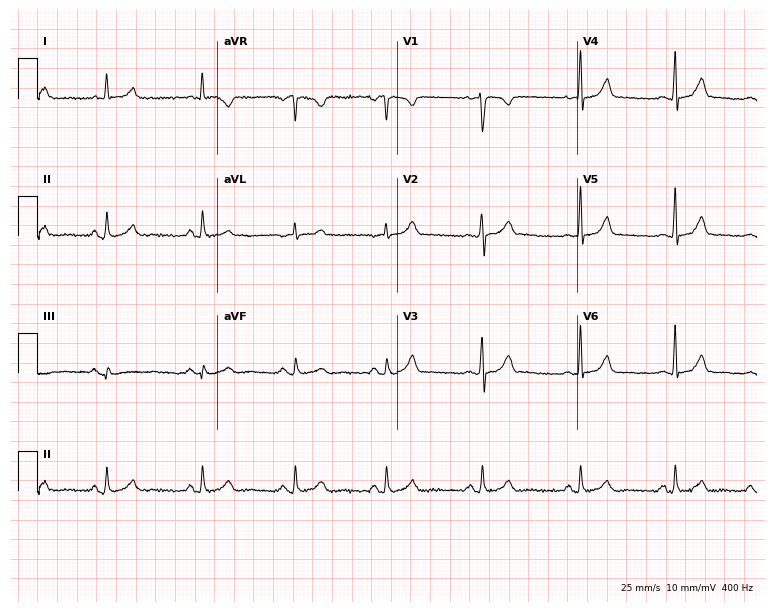
ECG — a woman, 27 years old. Labelled as a normal ECG.